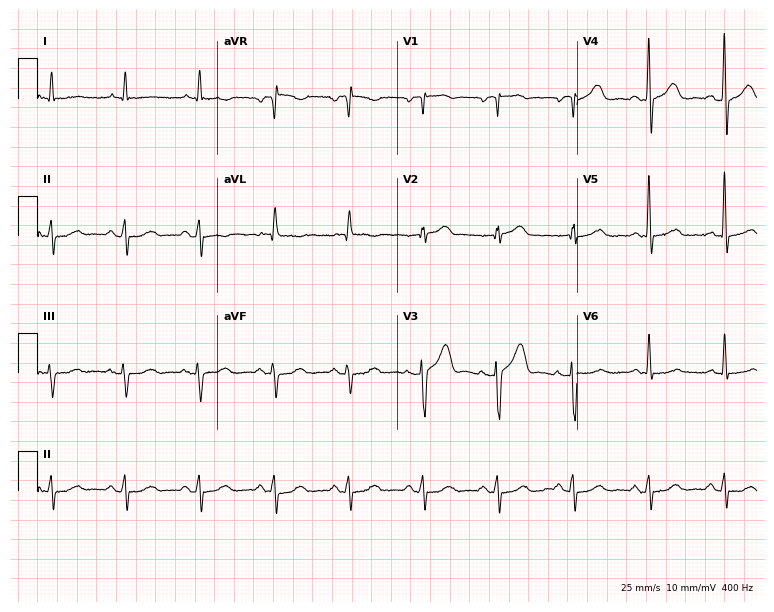
Electrocardiogram, a male, 78 years old. Of the six screened findings (first-degree AV block, right bundle branch block (RBBB), left bundle branch block (LBBB), sinus bradycardia, atrial fibrillation (AF), sinus tachycardia), none is recorded.